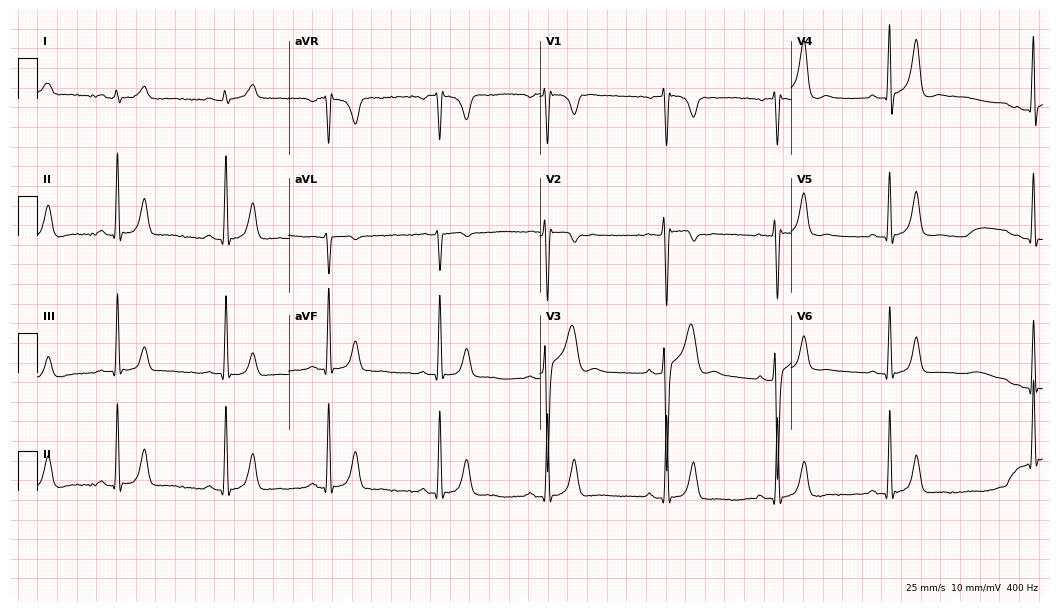
12-lead ECG (10.2-second recording at 400 Hz) from a 27-year-old male patient. Labelled as a normal ECG.